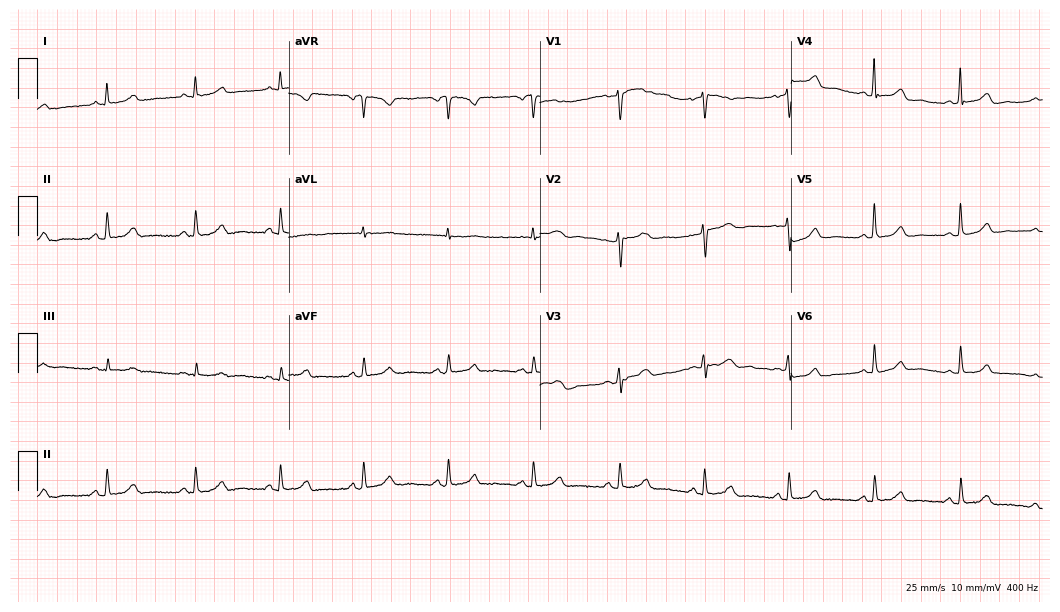
Standard 12-lead ECG recorded from a woman, 63 years old. Read as a normal ECG.